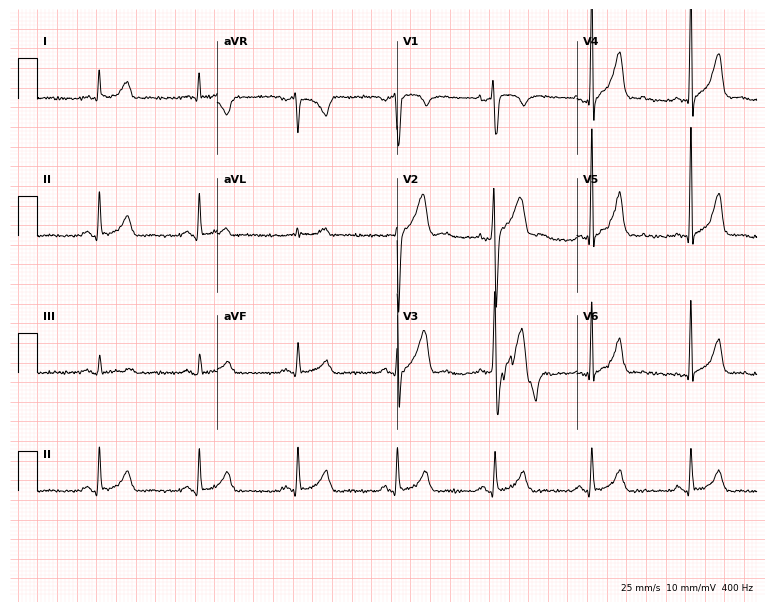
Standard 12-lead ECG recorded from a 31-year-old man (7.3-second recording at 400 Hz). None of these six findings is recorded: first-degree AV block, right bundle branch block (RBBB), left bundle branch block (LBBB), sinus bradycardia, atrial fibrillation (AF), sinus tachycardia.